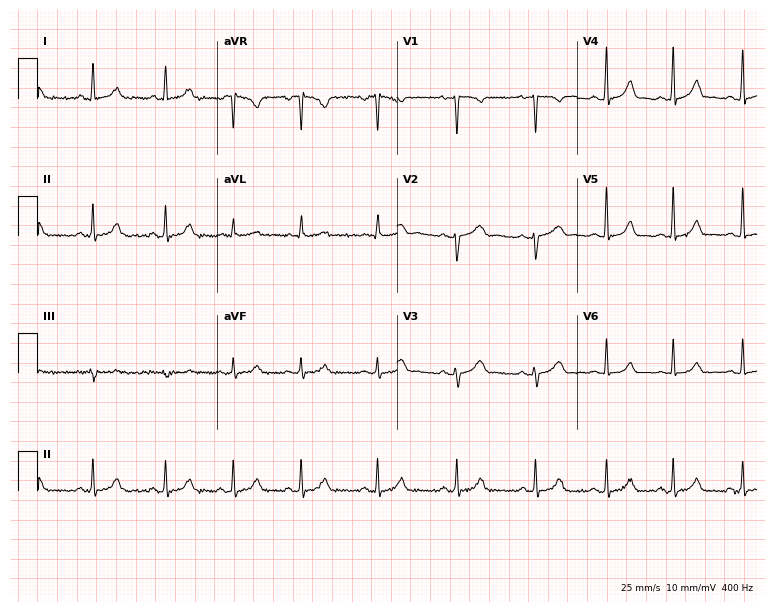
ECG (7.3-second recording at 400 Hz) — a woman, 23 years old. Screened for six findings — first-degree AV block, right bundle branch block (RBBB), left bundle branch block (LBBB), sinus bradycardia, atrial fibrillation (AF), sinus tachycardia — none is recorded. Other findings, if any, are not listed.